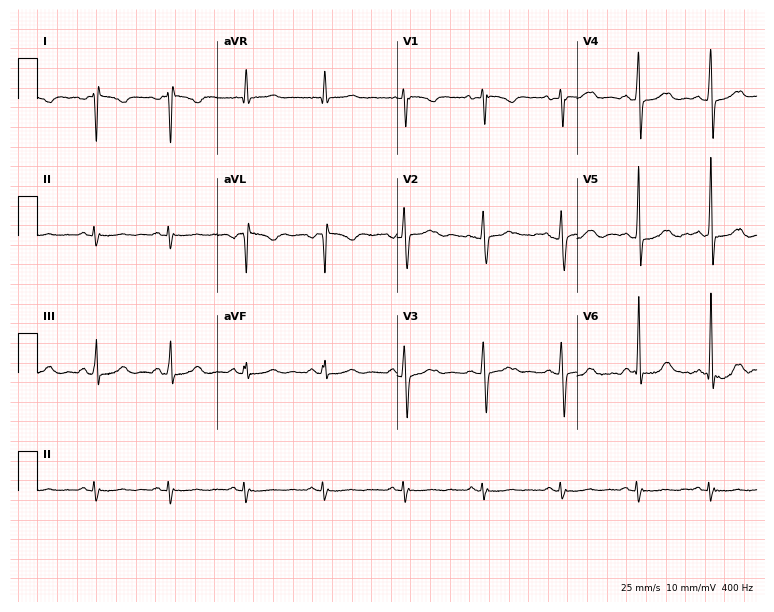
Resting 12-lead electrocardiogram. Patient: a female, 46 years old. None of these six findings is recorded: first-degree AV block, right bundle branch block (RBBB), left bundle branch block (LBBB), sinus bradycardia, atrial fibrillation (AF), sinus tachycardia.